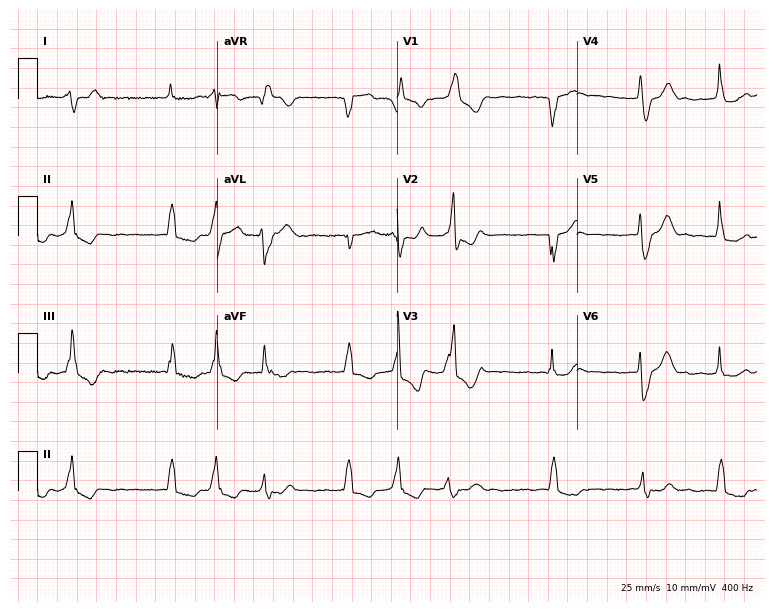
Standard 12-lead ECG recorded from a male patient, 76 years old. The tracing shows atrial fibrillation (AF).